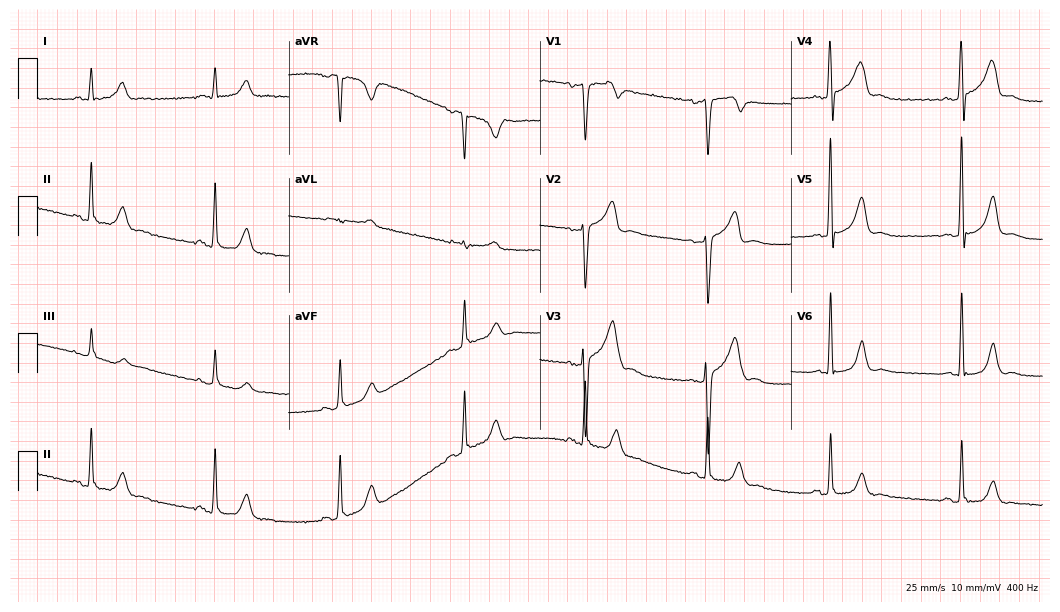
Standard 12-lead ECG recorded from a 46-year-old man. The tracing shows sinus bradycardia (a sinus rate of 50 beats per minute or less).